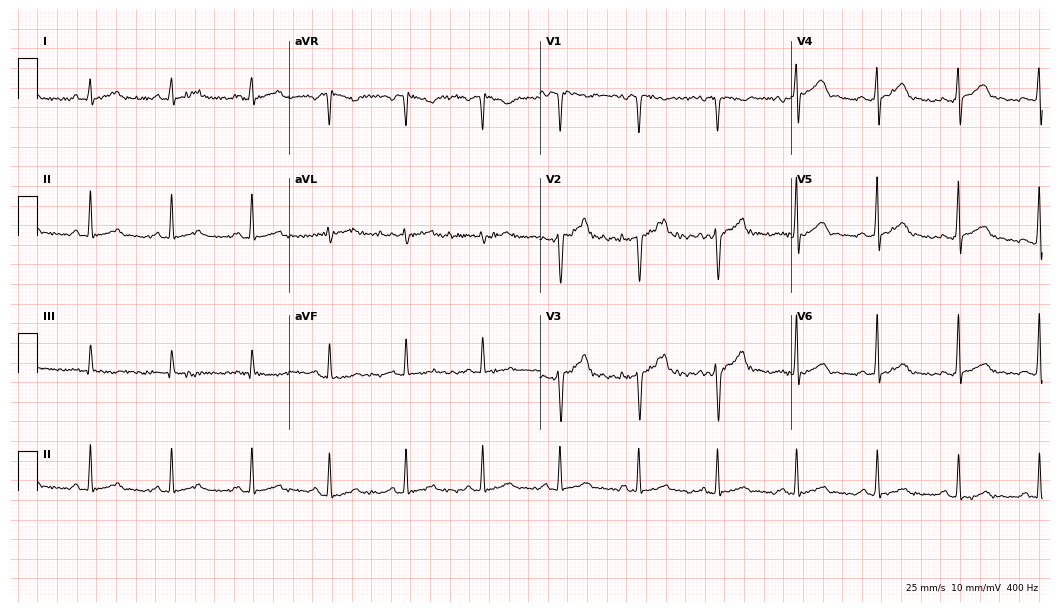
ECG — a man, 41 years old. Labelled as a normal ECG.